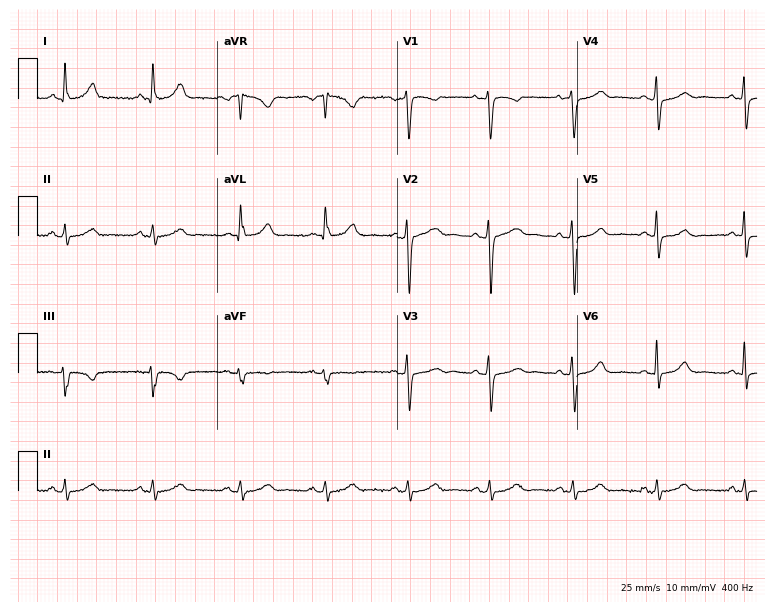
12-lead ECG from a 43-year-old man. Screened for six findings — first-degree AV block, right bundle branch block, left bundle branch block, sinus bradycardia, atrial fibrillation, sinus tachycardia — none is recorded. Other findings, if any, are not listed.